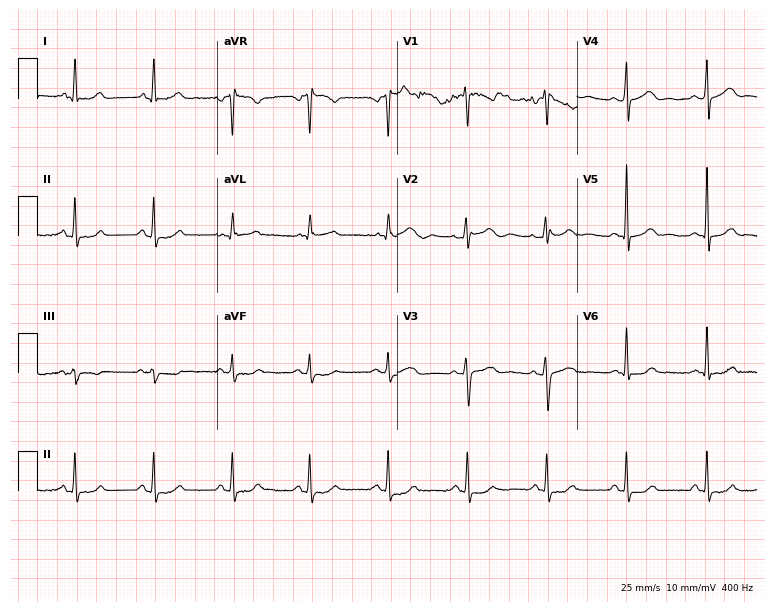
ECG — a 48-year-old woman. Labelled as a normal ECG.